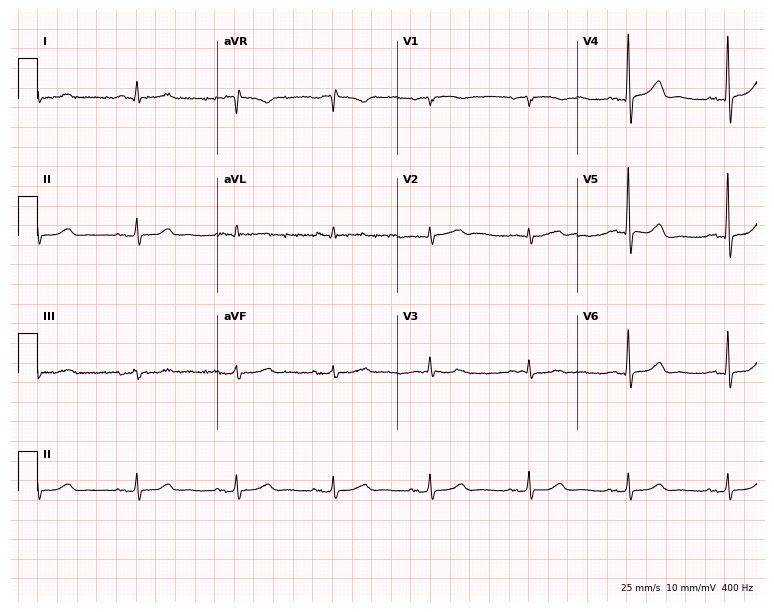
12-lead ECG from a 61-year-old male. Labelled as a normal ECG.